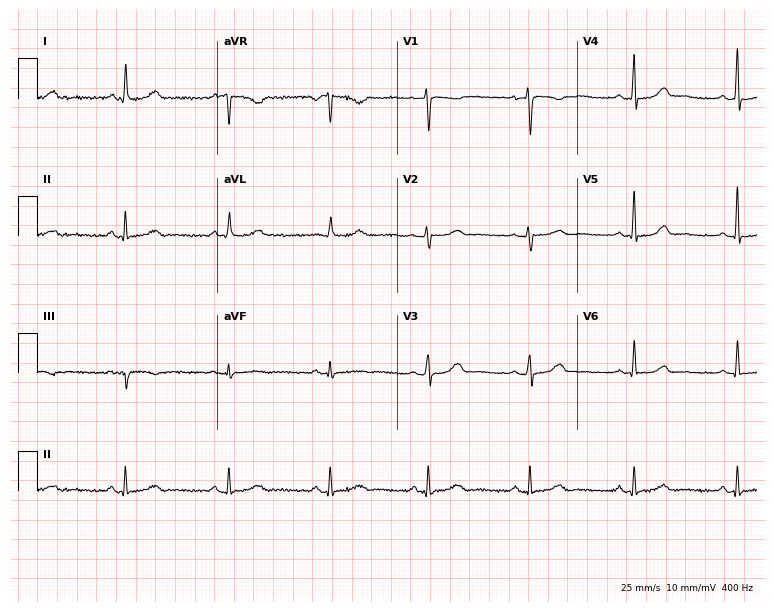
ECG (7.3-second recording at 400 Hz) — a female, 47 years old. Labelled as a normal ECG.